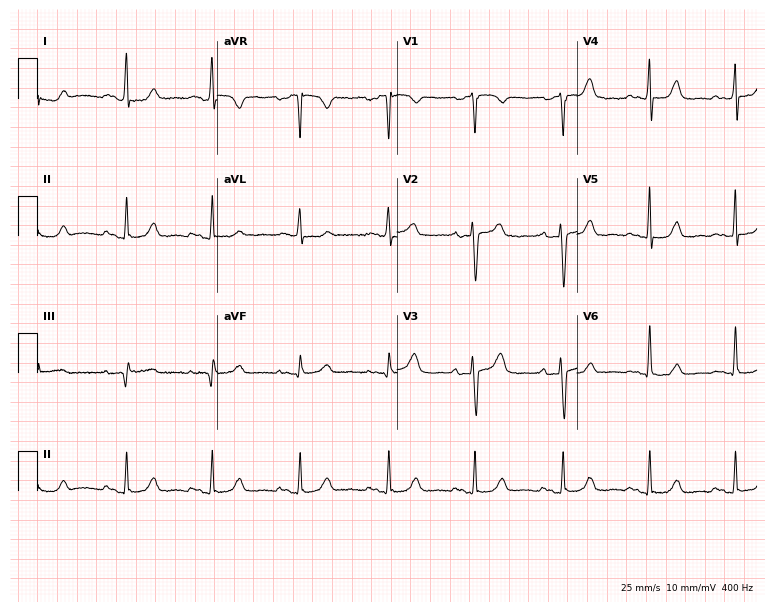
ECG — a 54-year-old female patient. Screened for six findings — first-degree AV block, right bundle branch block (RBBB), left bundle branch block (LBBB), sinus bradycardia, atrial fibrillation (AF), sinus tachycardia — none is recorded. Findings outside these six are not listed.